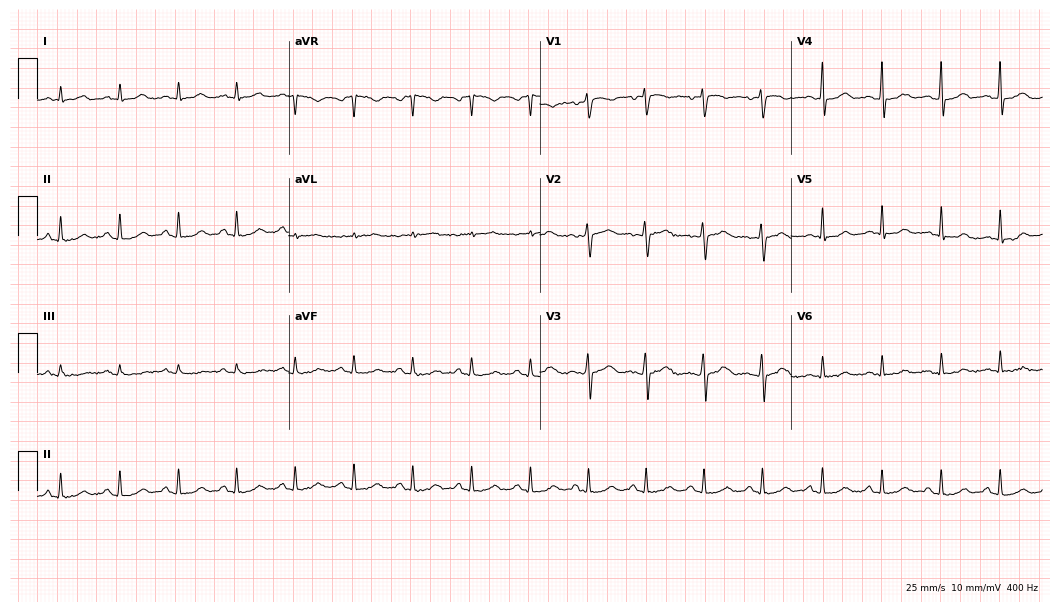
Electrocardiogram (10.2-second recording at 400 Hz), a 45-year-old female patient. Interpretation includes sinus tachycardia (a sinus rate of 100 beats per minute or more).